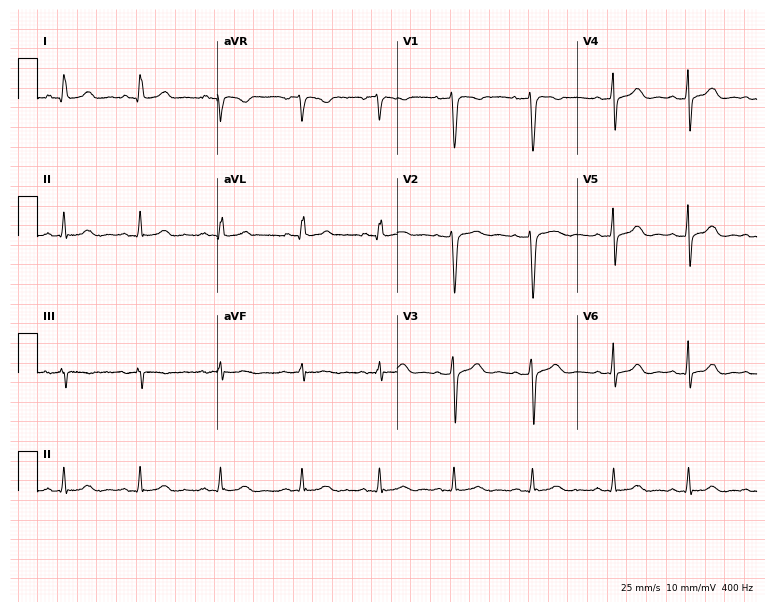
ECG (7.3-second recording at 400 Hz) — a woman, 18 years old. Labelled as a normal ECG.